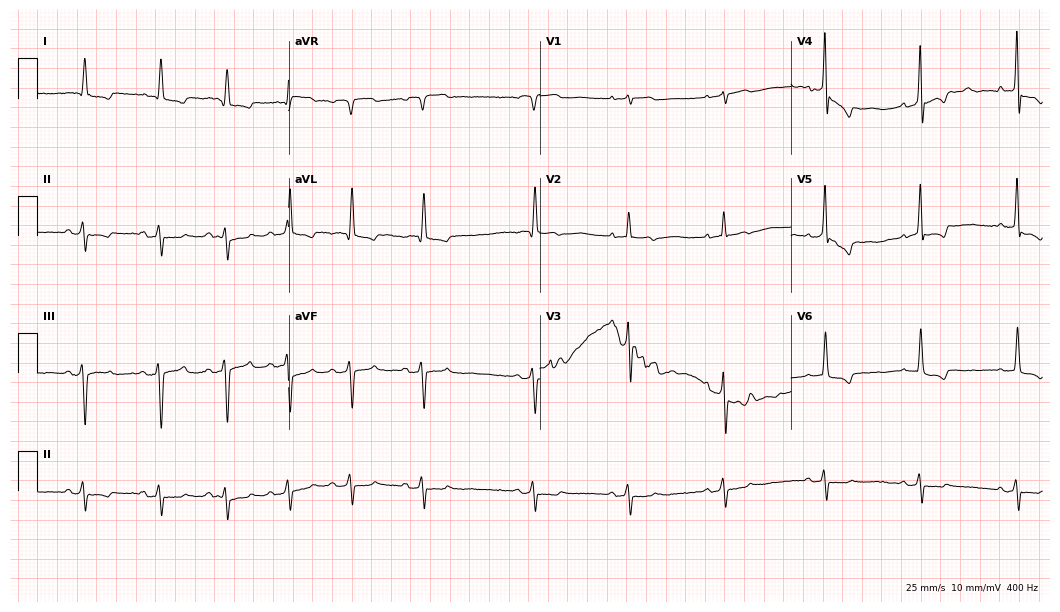
Standard 12-lead ECG recorded from a male patient, 77 years old (10.2-second recording at 400 Hz). None of these six findings is recorded: first-degree AV block, right bundle branch block (RBBB), left bundle branch block (LBBB), sinus bradycardia, atrial fibrillation (AF), sinus tachycardia.